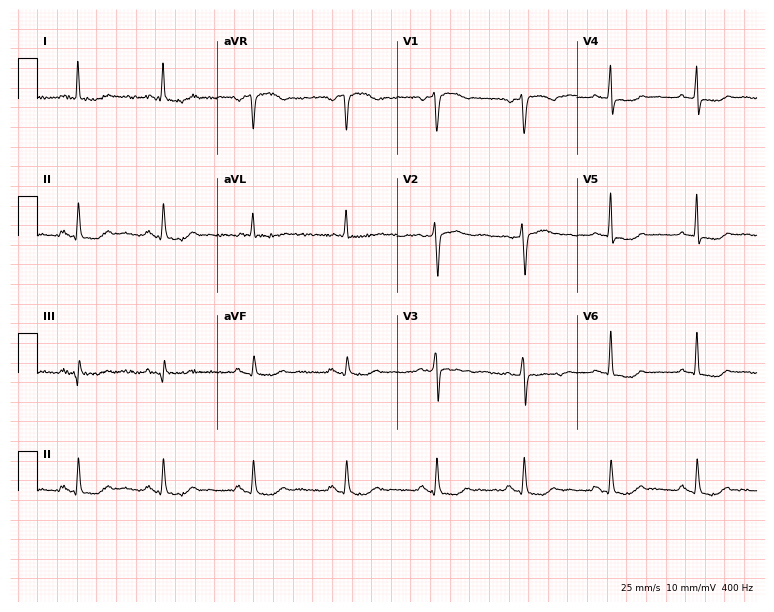
12-lead ECG from a 56-year-old woman. Screened for six findings — first-degree AV block, right bundle branch block, left bundle branch block, sinus bradycardia, atrial fibrillation, sinus tachycardia — none is recorded.